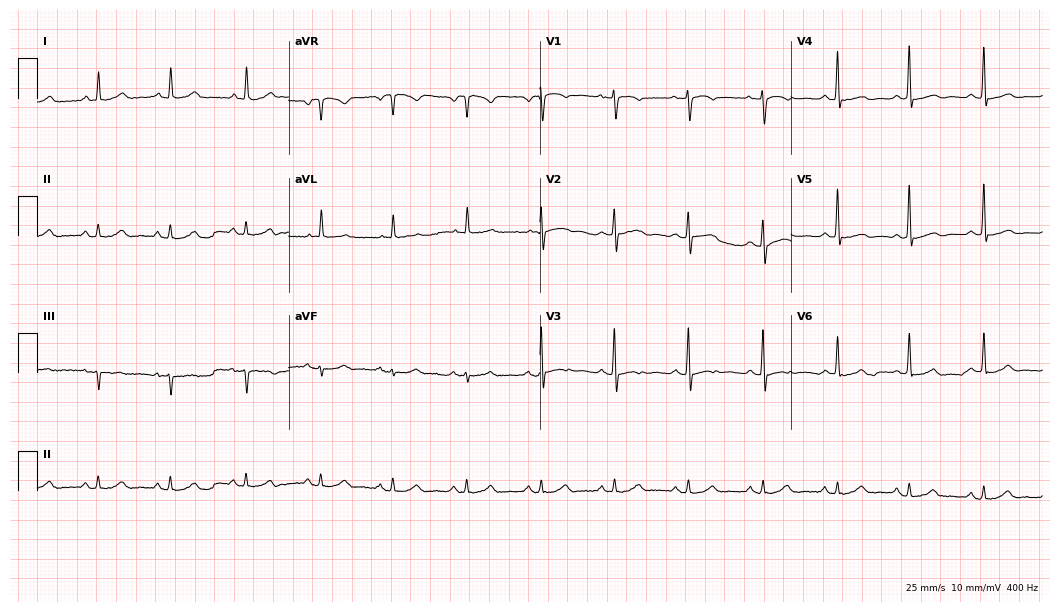
ECG (10.2-second recording at 400 Hz) — a 62-year-old woman. Screened for six findings — first-degree AV block, right bundle branch block, left bundle branch block, sinus bradycardia, atrial fibrillation, sinus tachycardia — none is recorded.